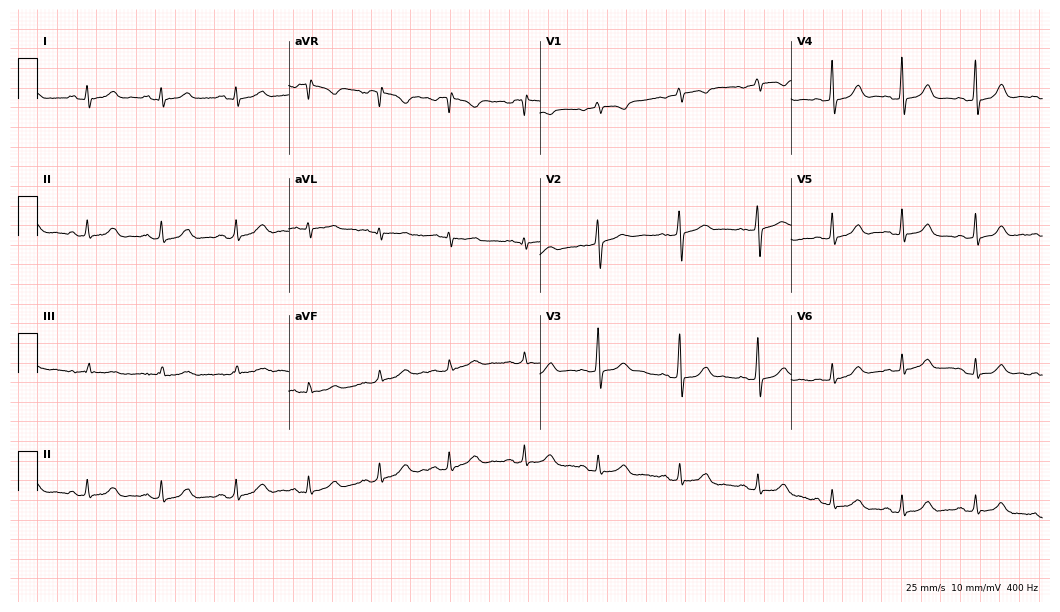
Electrocardiogram, a 36-year-old female patient. Overall reading on record: normal ECG.